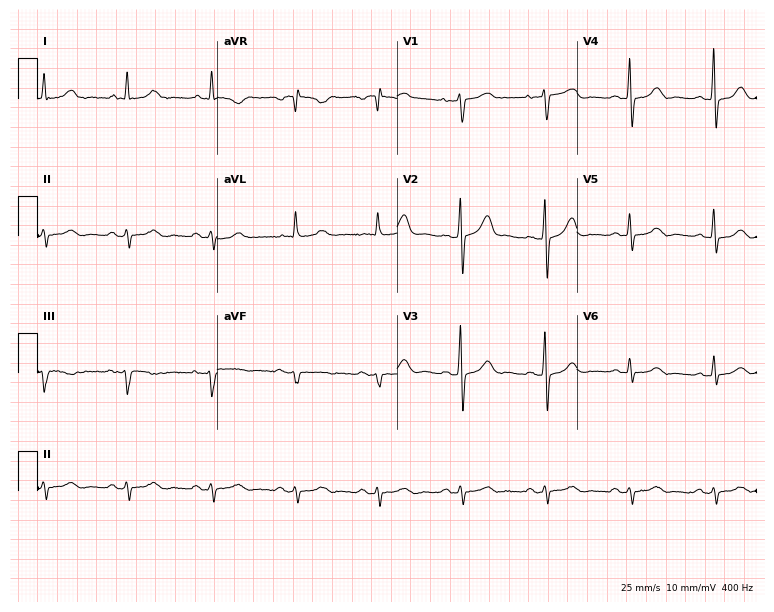
12-lead ECG (7.3-second recording at 400 Hz) from a female patient, 69 years old. Screened for six findings — first-degree AV block, right bundle branch block, left bundle branch block, sinus bradycardia, atrial fibrillation, sinus tachycardia — none is recorded. Only these six findings were labelled.